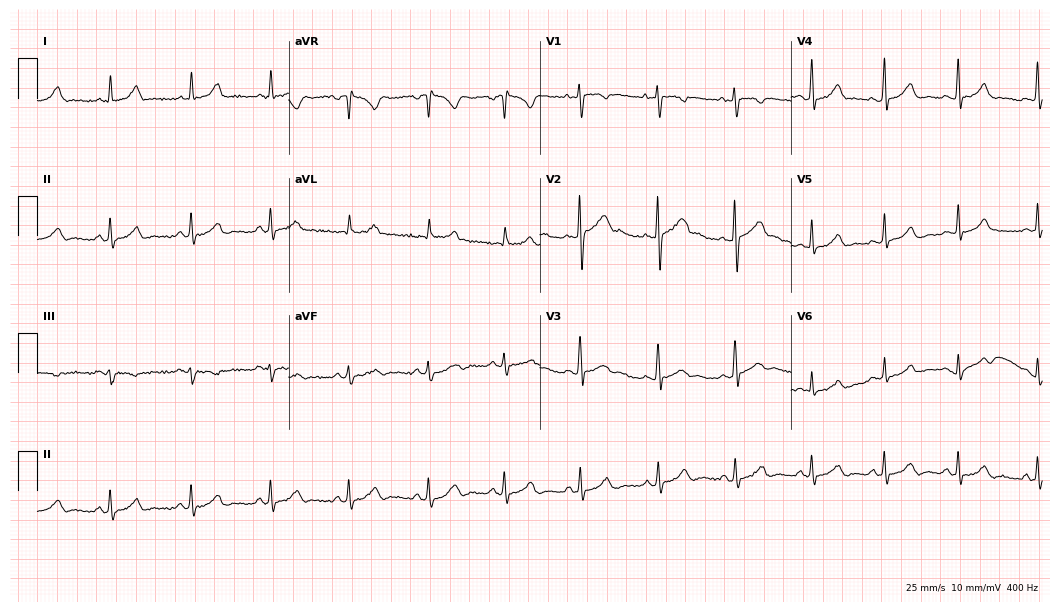
12-lead ECG from a male patient, 20 years old. Labelled as a normal ECG.